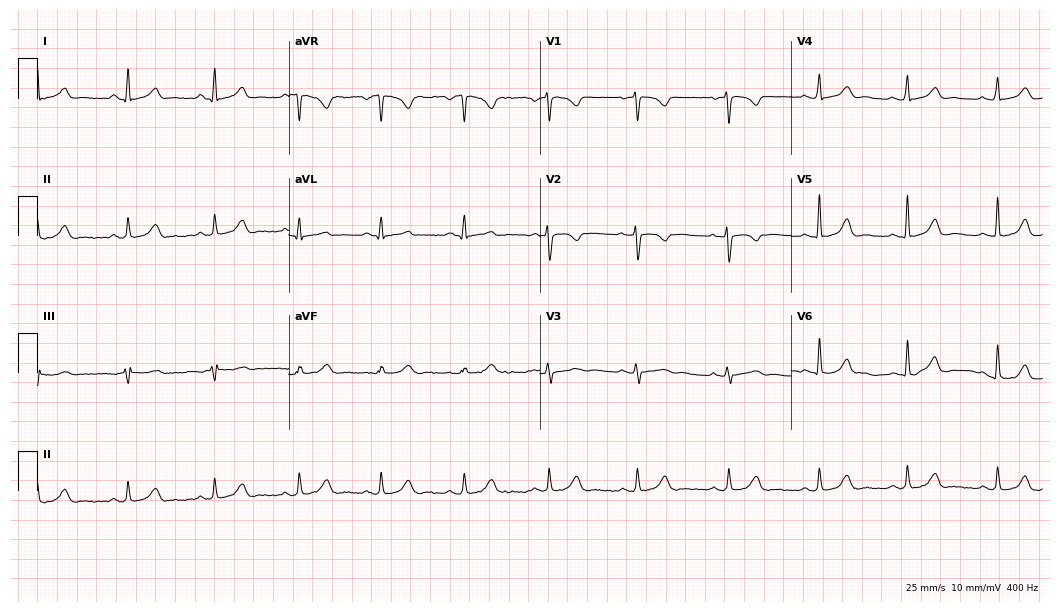
ECG — a 39-year-old woman. Screened for six findings — first-degree AV block, right bundle branch block, left bundle branch block, sinus bradycardia, atrial fibrillation, sinus tachycardia — none is recorded.